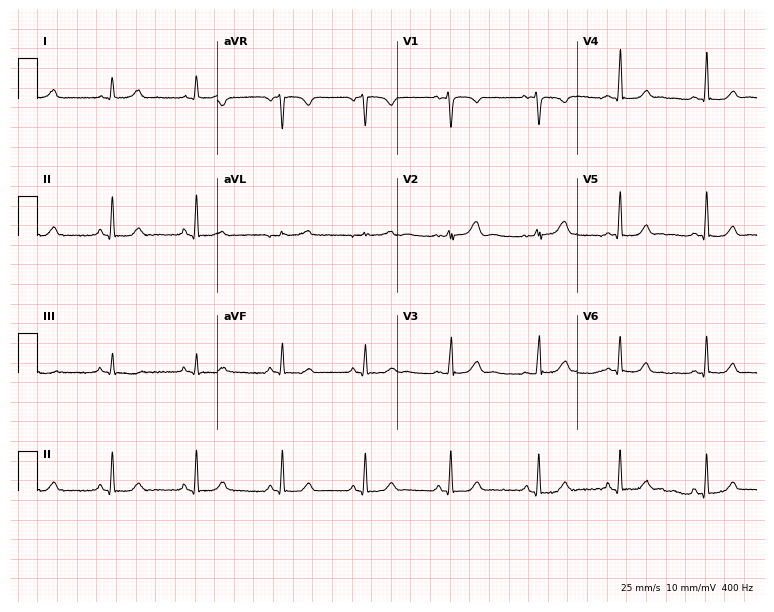
Standard 12-lead ECG recorded from a 35-year-old female patient. Read as a normal ECG.